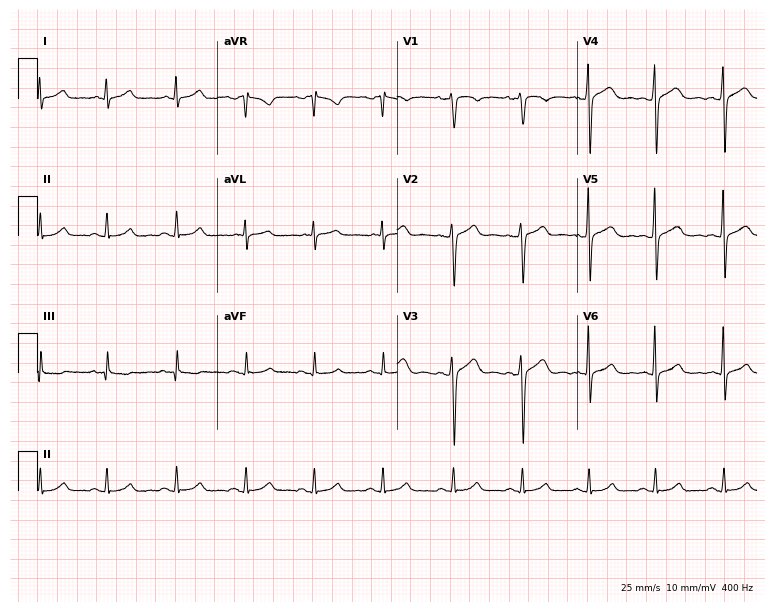
Electrocardiogram (7.3-second recording at 400 Hz), a male, 49 years old. Of the six screened findings (first-degree AV block, right bundle branch block (RBBB), left bundle branch block (LBBB), sinus bradycardia, atrial fibrillation (AF), sinus tachycardia), none is recorded. Other findings, if any, are not listed.